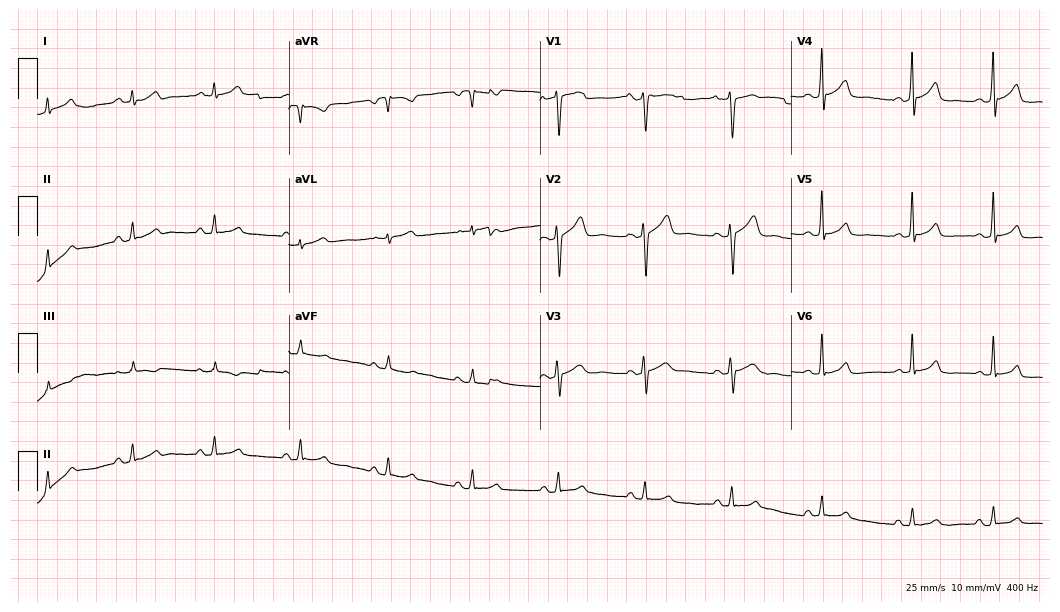
12-lead ECG from a 26-year-old man (10.2-second recording at 400 Hz). Recorded interpretation: within normal limits.